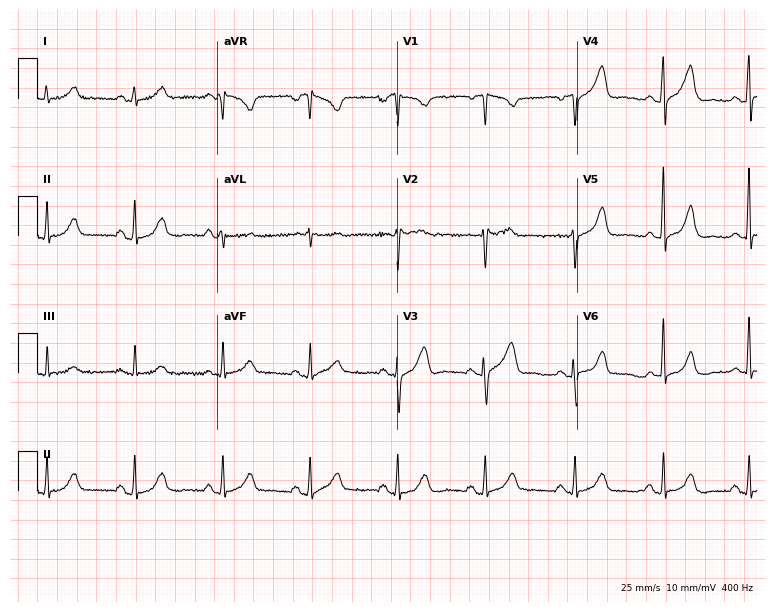
12-lead ECG from a woman, 43 years old. No first-degree AV block, right bundle branch block (RBBB), left bundle branch block (LBBB), sinus bradycardia, atrial fibrillation (AF) or sinus tachycardia recorded for this tracing. Other findings, if any, are not listed.